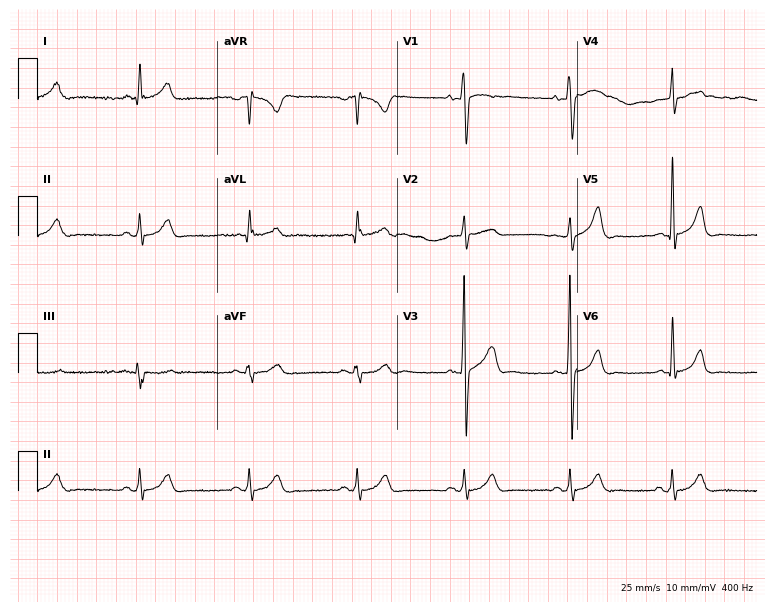
Resting 12-lead electrocardiogram. Patient: a male, 37 years old. None of these six findings is recorded: first-degree AV block, right bundle branch block, left bundle branch block, sinus bradycardia, atrial fibrillation, sinus tachycardia.